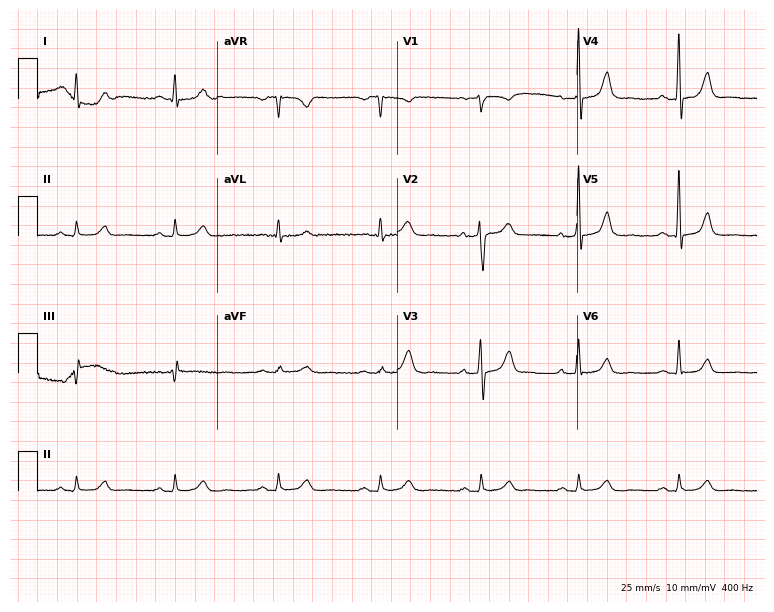
12-lead ECG from a 66-year-old male patient. Labelled as a normal ECG.